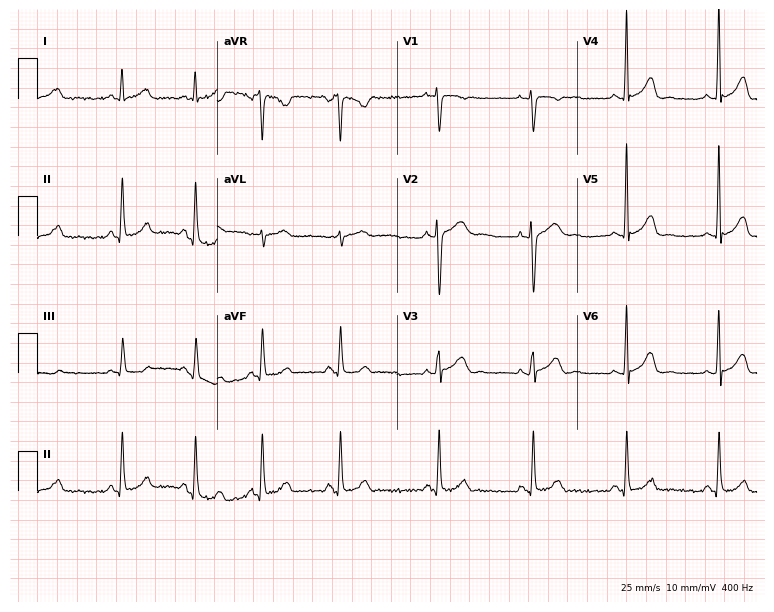
Electrocardiogram, a 17-year-old woman. Of the six screened findings (first-degree AV block, right bundle branch block (RBBB), left bundle branch block (LBBB), sinus bradycardia, atrial fibrillation (AF), sinus tachycardia), none is recorded. Other findings, if any, are not listed.